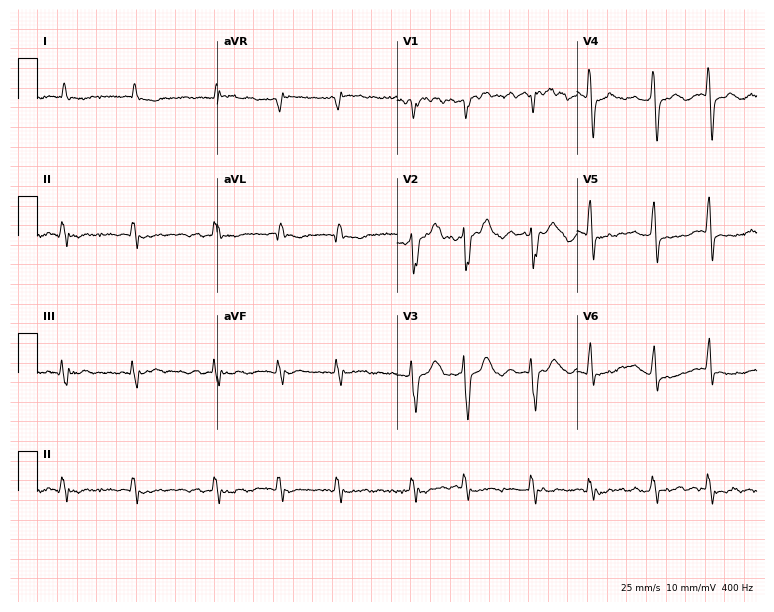
ECG (7.3-second recording at 400 Hz) — an 82-year-old female patient. Findings include atrial fibrillation.